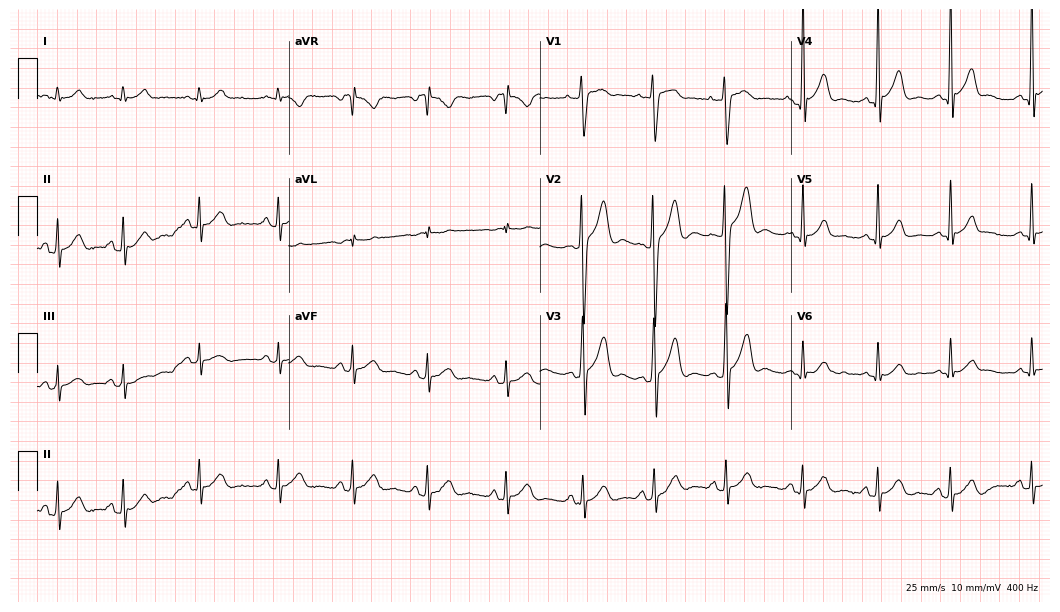
12-lead ECG from an 18-year-old male. Labelled as a normal ECG.